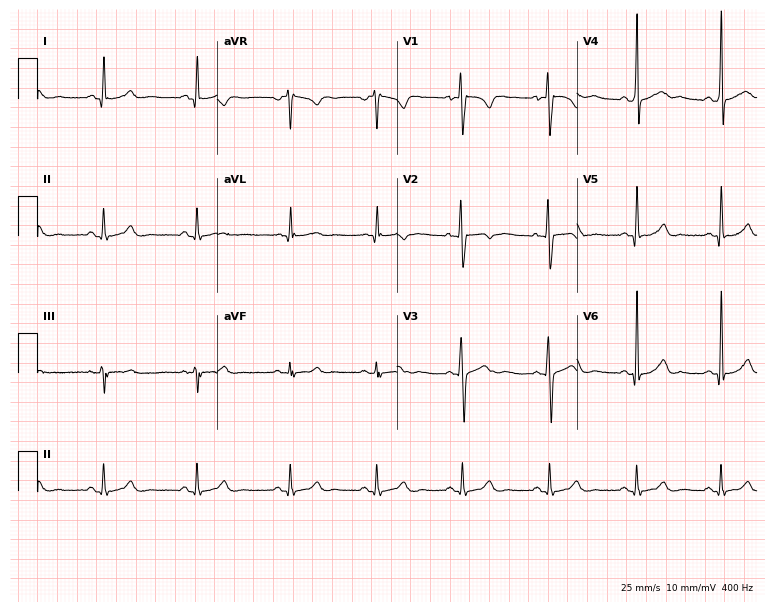
Resting 12-lead electrocardiogram. Patient: a 17-year-old male. Read as a normal ECG.